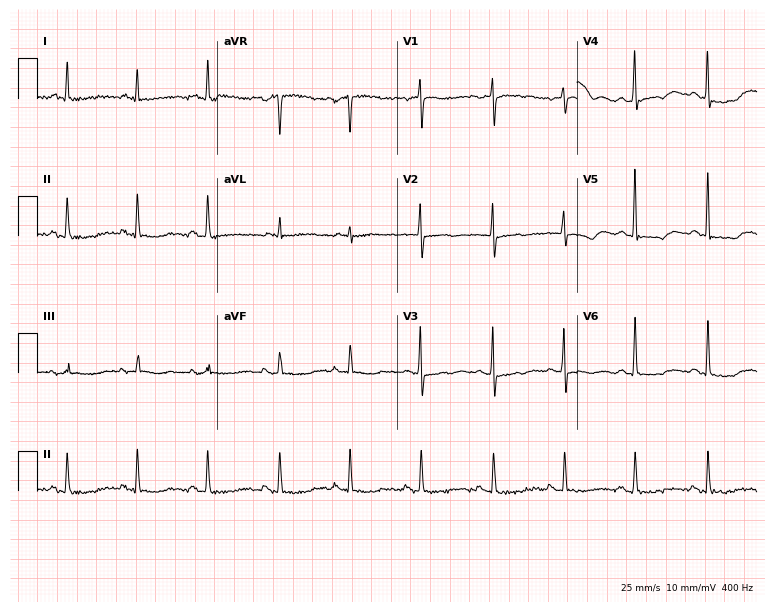
12-lead ECG from a 71-year-old female patient. Screened for six findings — first-degree AV block, right bundle branch block, left bundle branch block, sinus bradycardia, atrial fibrillation, sinus tachycardia — none is recorded.